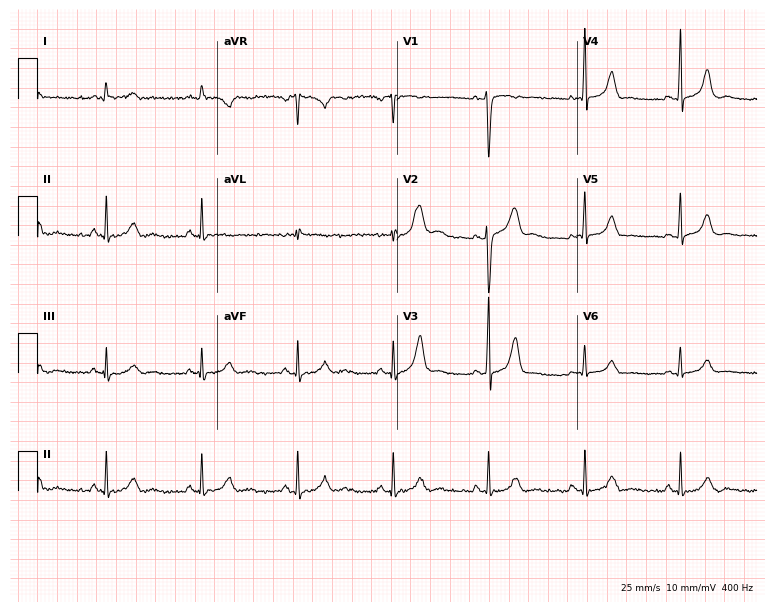
12-lead ECG from a woman, 40 years old (7.3-second recording at 400 Hz). Recorded interpretation: within normal limits.